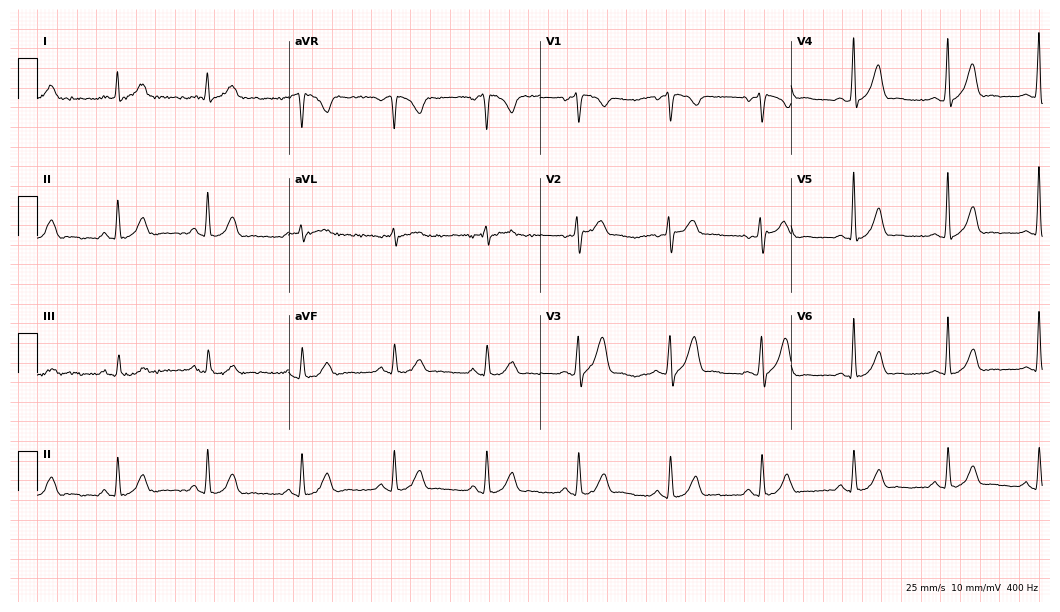
12-lead ECG from a 51-year-old male. Recorded interpretation: within normal limits.